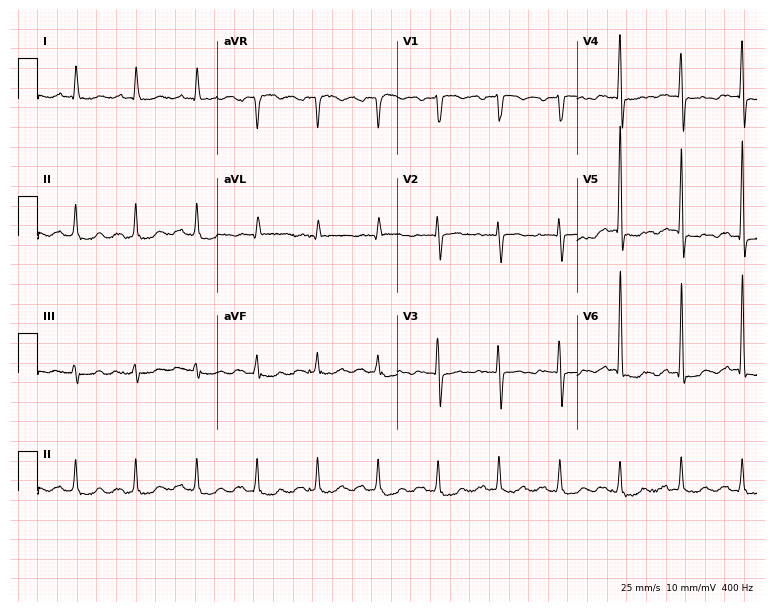
Standard 12-lead ECG recorded from an 85-year-old man (7.3-second recording at 400 Hz). None of these six findings is recorded: first-degree AV block, right bundle branch block, left bundle branch block, sinus bradycardia, atrial fibrillation, sinus tachycardia. Only these six findings were labelled.